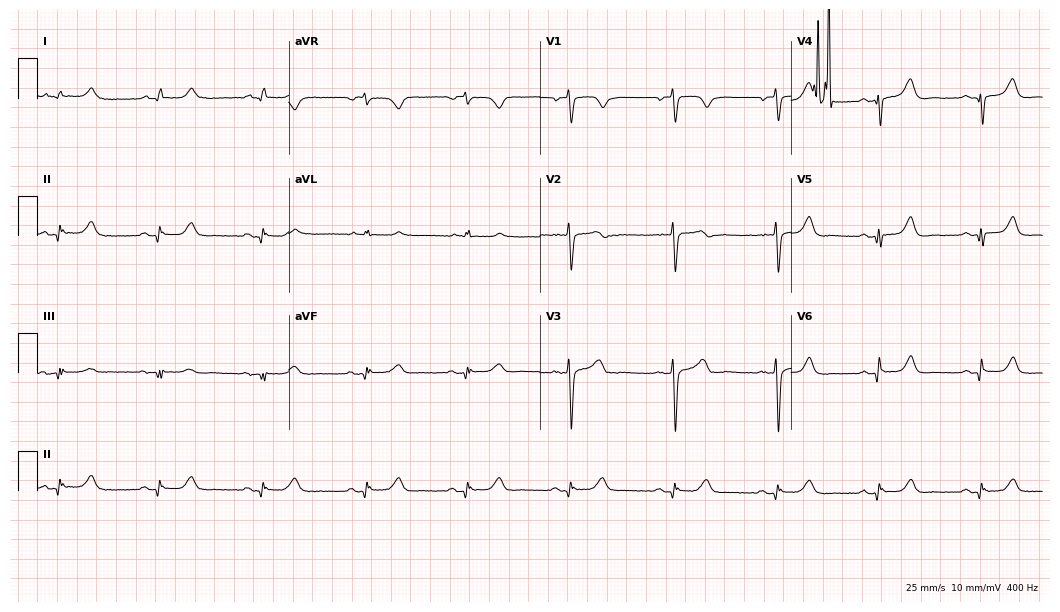
ECG (10.2-second recording at 400 Hz) — a female, 62 years old. Screened for six findings — first-degree AV block, right bundle branch block (RBBB), left bundle branch block (LBBB), sinus bradycardia, atrial fibrillation (AF), sinus tachycardia — none is recorded. Findings outside these six are not listed.